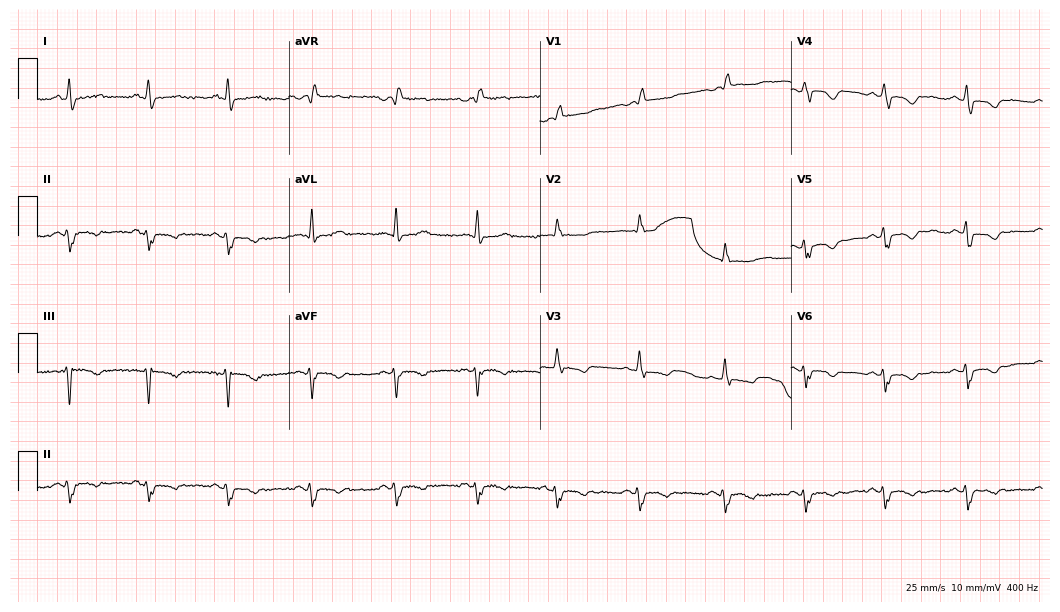
Resting 12-lead electrocardiogram. Patient: a male, 64 years old. None of these six findings is recorded: first-degree AV block, right bundle branch block, left bundle branch block, sinus bradycardia, atrial fibrillation, sinus tachycardia. Other findings, if any, are not listed.